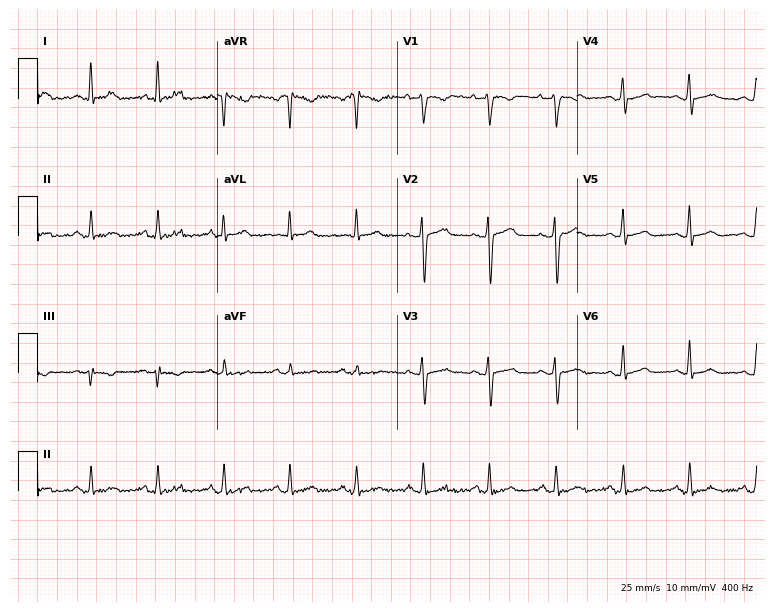
12-lead ECG (7.3-second recording at 400 Hz) from a female, 31 years old. Labelled as a normal ECG.